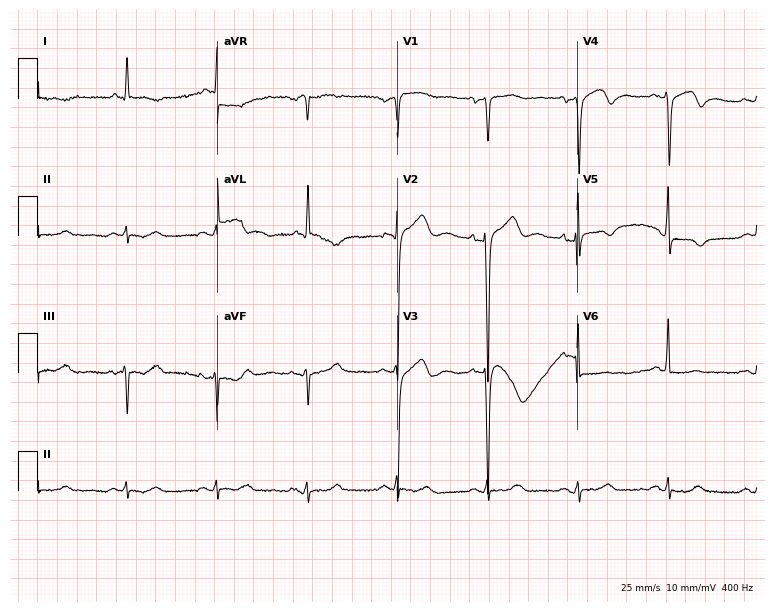
12-lead ECG from a female, 85 years old. No first-degree AV block, right bundle branch block, left bundle branch block, sinus bradycardia, atrial fibrillation or sinus tachycardia recorded for this tracing.